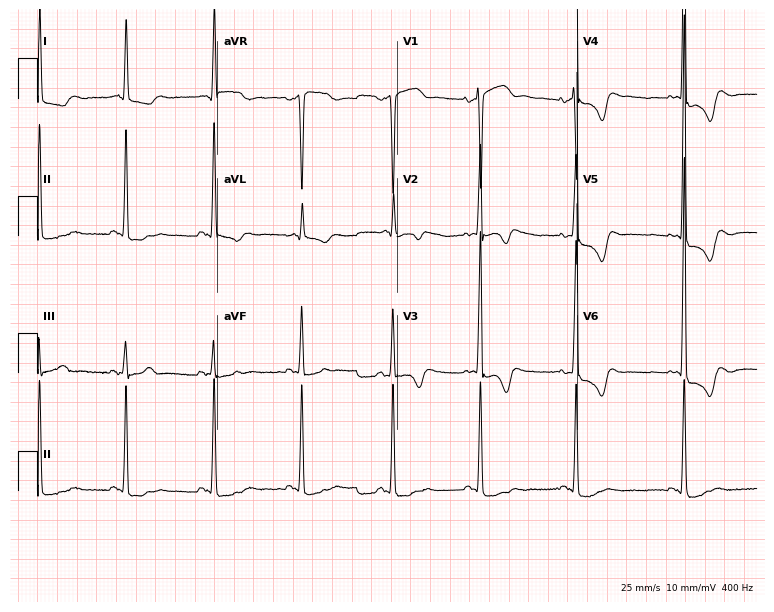
Electrocardiogram, an 85-year-old female patient. Of the six screened findings (first-degree AV block, right bundle branch block (RBBB), left bundle branch block (LBBB), sinus bradycardia, atrial fibrillation (AF), sinus tachycardia), none is recorded. Other findings, if any, are not listed.